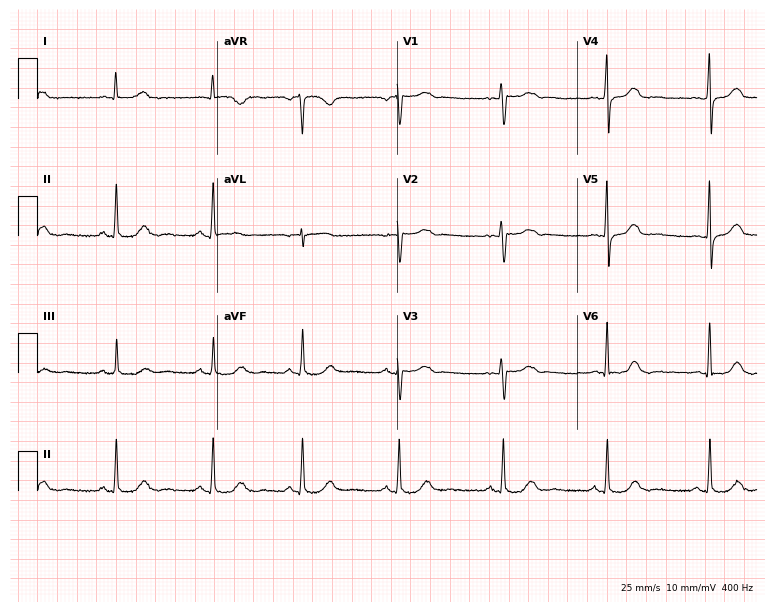
ECG (7.3-second recording at 400 Hz) — a 53-year-old woman. Labelled as a normal ECG.